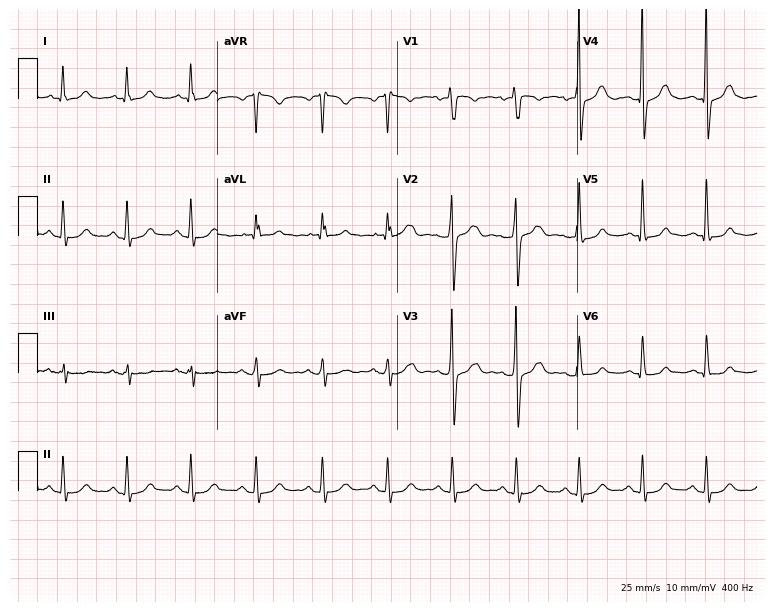
Resting 12-lead electrocardiogram (7.3-second recording at 400 Hz). Patient: a male, 68 years old. Read as a normal ECG.